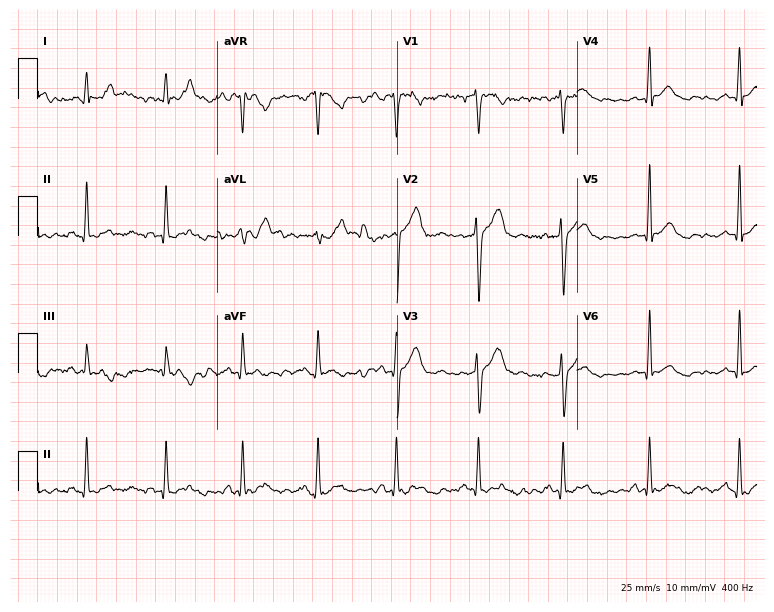
Electrocardiogram, a male patient, 27 years old. Of the six screened findings (first-degree AV block, right bundle branch block, left bundle branch block, sinus bradycardia, atrial fibrillation, sinus tachycardia), none is recorded.